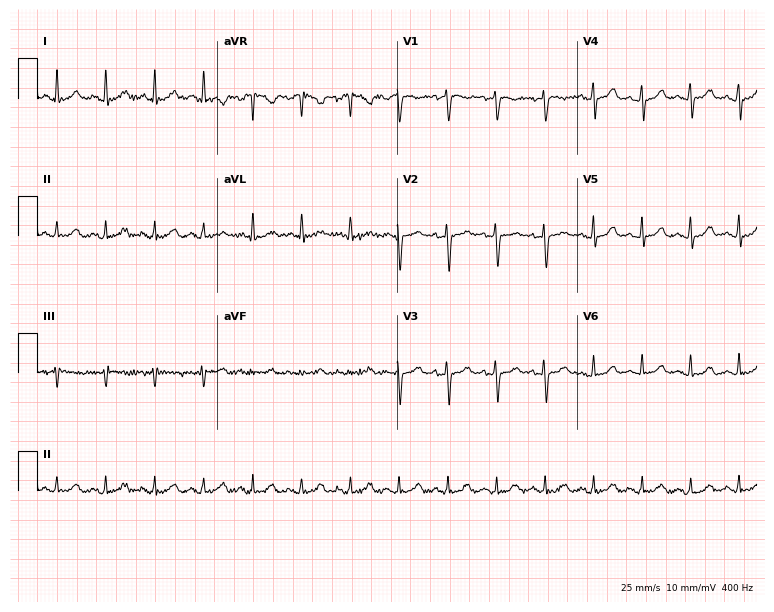
Resting 12-lead electrocardiogram. Patient: a female, 62 years old. None of these six findings is recorded: first-degree AV block, right bundle branch block, left bundle branch block, sinus bradycardia, atrial fibrillation, sinus tachycardia.